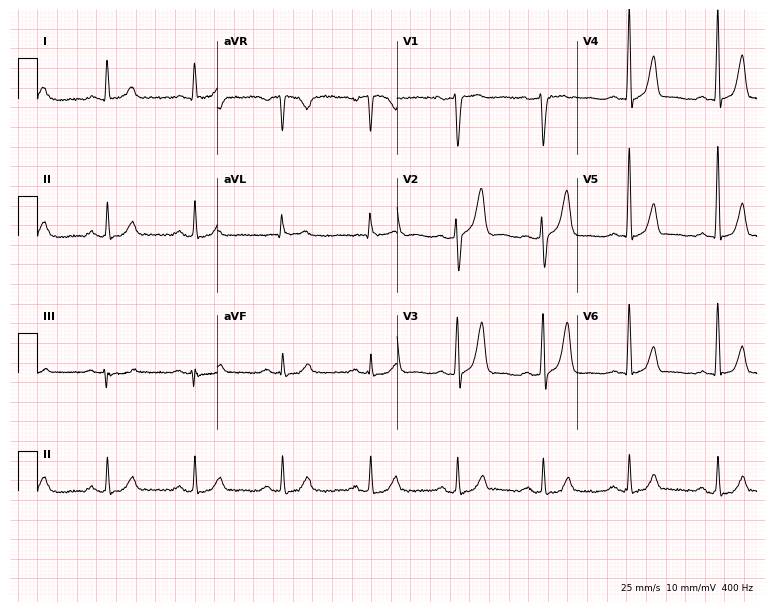
Standard 12-lead ECG recorded from a 47-year-old male patient. None of these six findings is recorded: first-degree AV block, right bundle branch block (RBBB), left bundle branch block (LBBB), sinus bradycardia, atrial fibrillation (AF), sinus tachycardia.